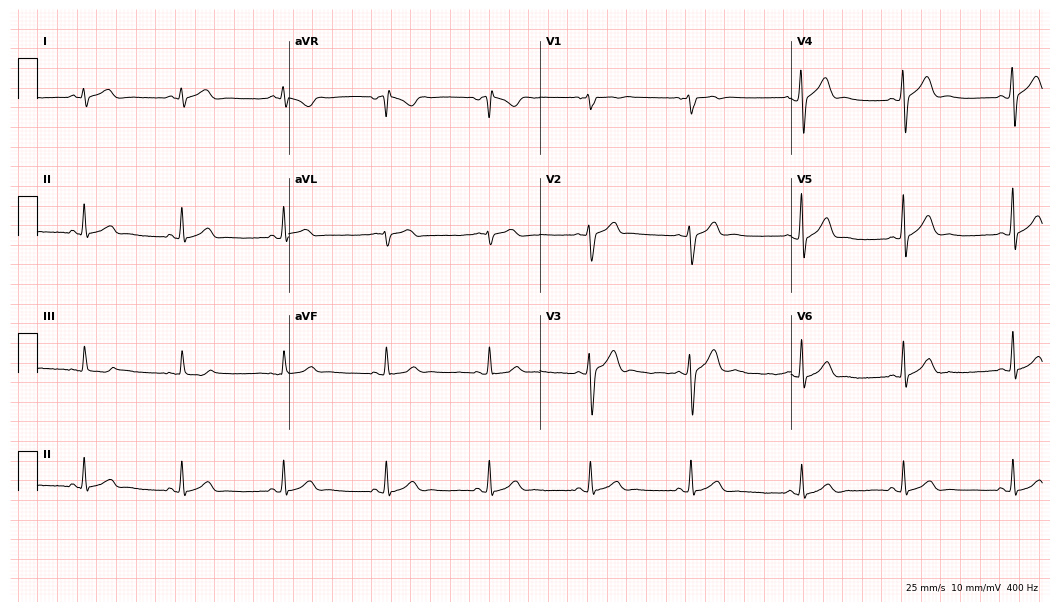
12-lead ECG from a 28-year-old man (10.2-second recording at 400 Hz). Recorded interpretation: within normal limits.